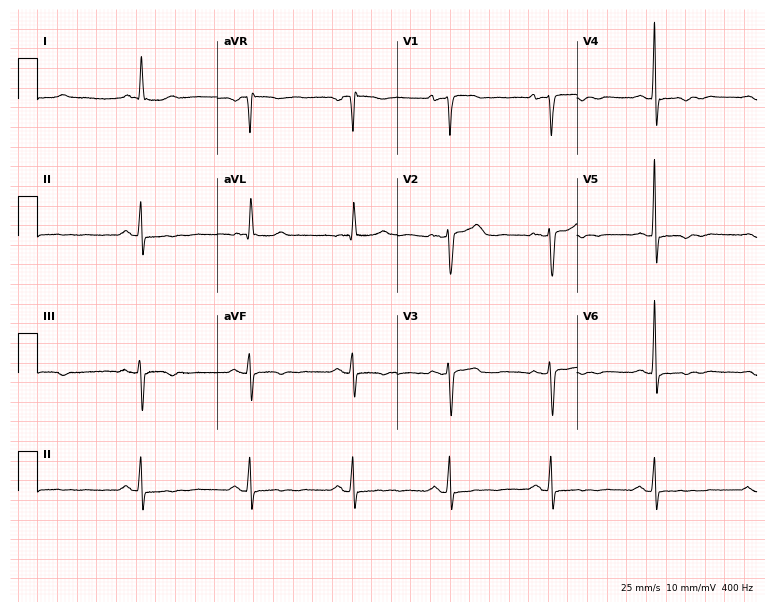
ECG (7.3-second recording at 400 Hz) — a 72-year-old female patient. Screened for six findings — first-degree AV block, right bundle branch block, left bundle branch block, sinus bradycardia, atrial fibrillation, sinus tachycardia — none is recorded.